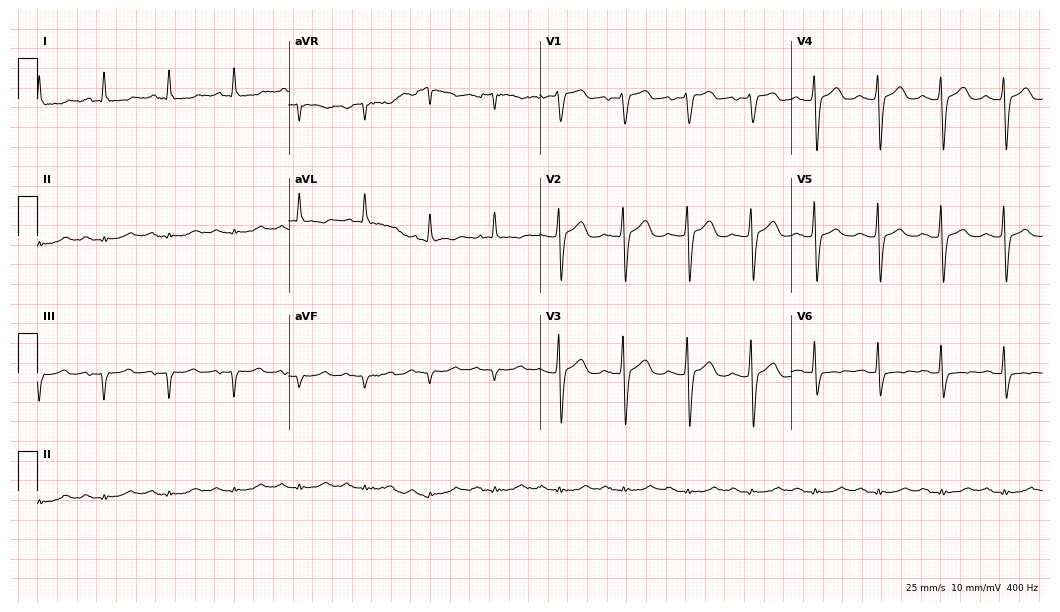
Electrocardiogram, a male, 65 years old. Of the six screened findings (first-degree AV block, right bundle branch block, left bundle branch block, sinus bradycardia, atrial fibrillation, sinus tachycardia), none is recorded. Findings outside these six are not listed.